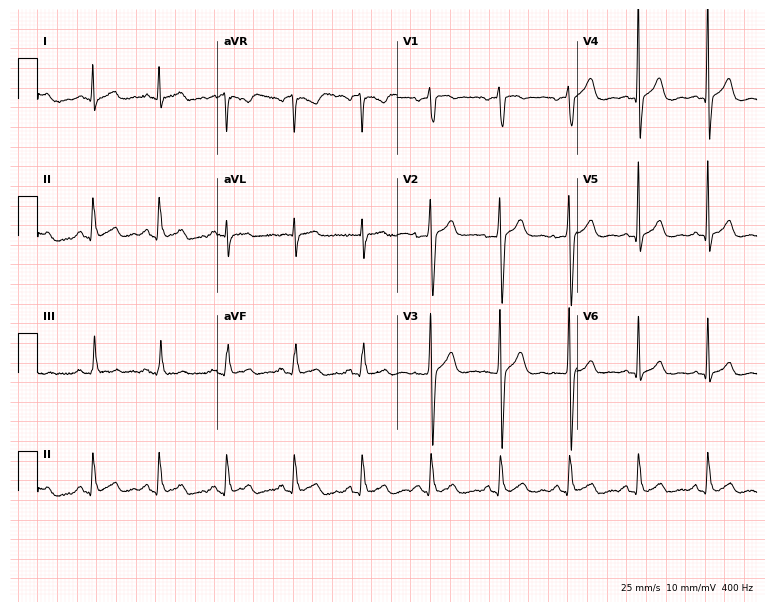
12-lead ECG from a 50-year-old male patient (7.3-second recording at 400 Hz). Recorded interpretation: within normal limits.